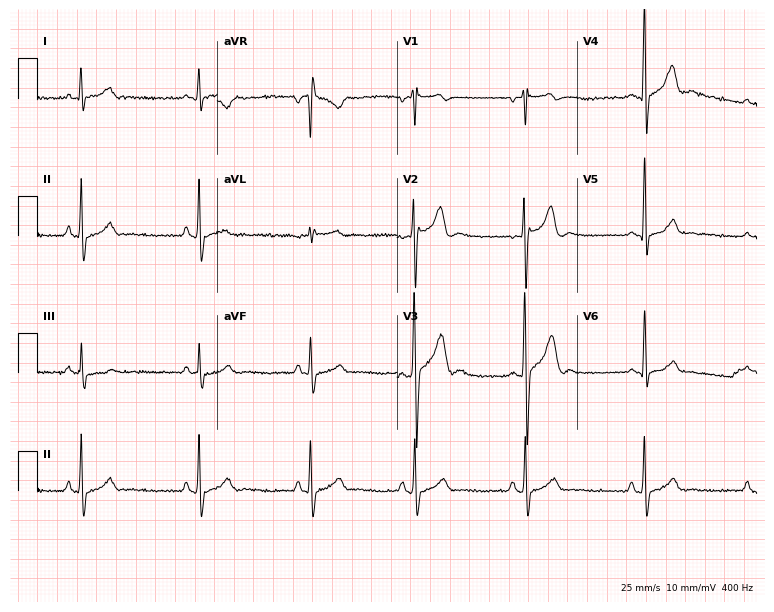
Resting 12-lead electrocardiogram. Patient: a male, 17 years old. None of these six findings is recorded: first-degree AV block, right bundle branch block, left bundle branch block, sinus bradycardia, atrial fibrillation, sinus tachycardia.